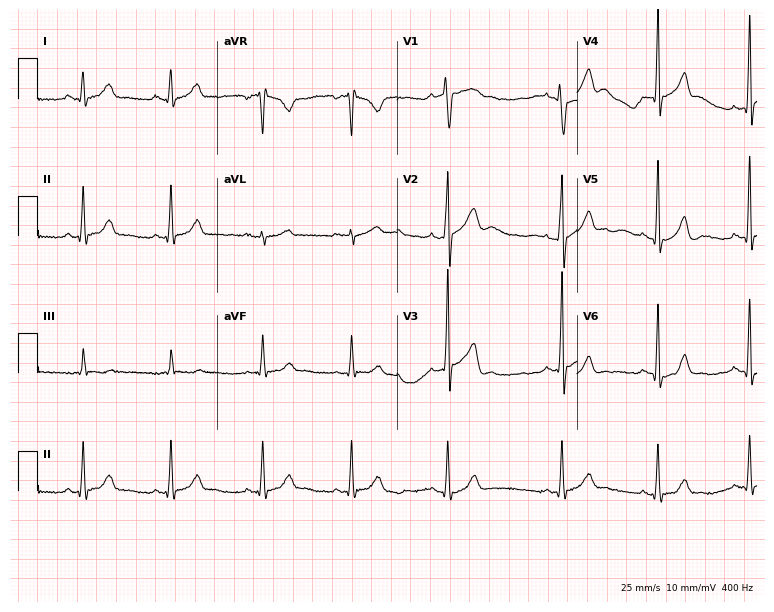
12-lead ECG (7.3-second recording at 400 Hz) from a 25-year-old male. Labelled as a normal ECG.